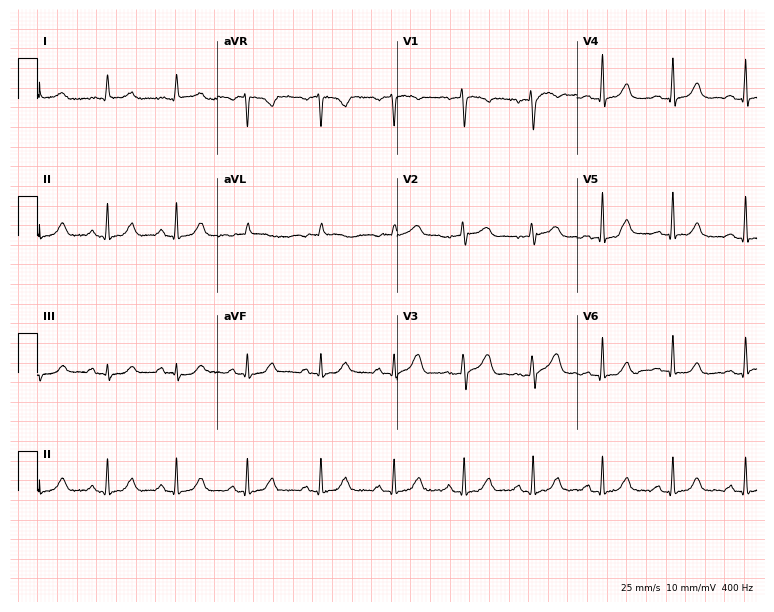
Electrocardiogram, a 59-year-old female. Overall reading on record: normal ECG.